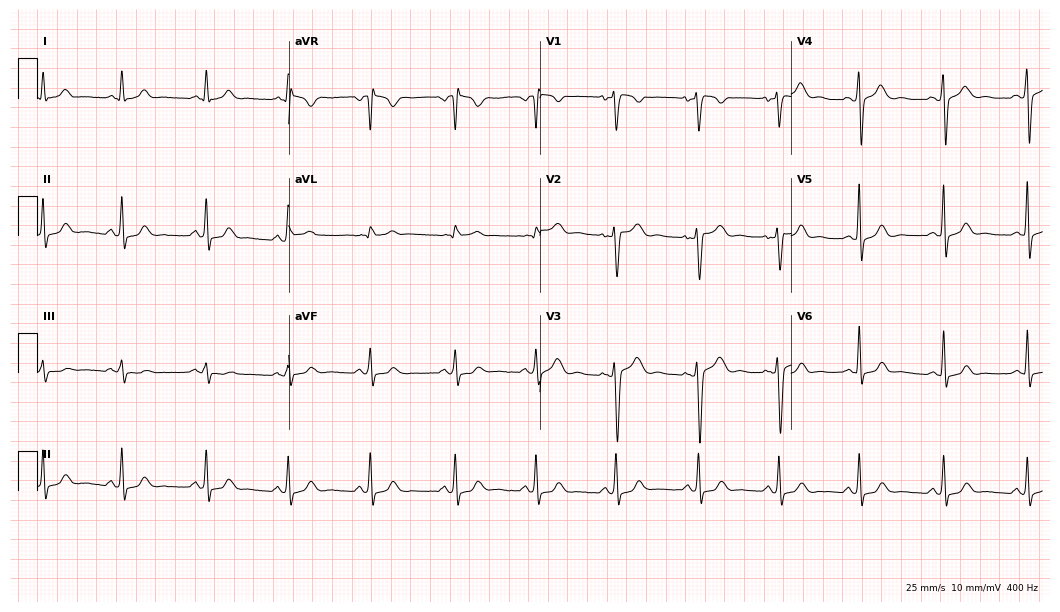
ECG — a 35-year-old female. Labelled as a normal ECG.